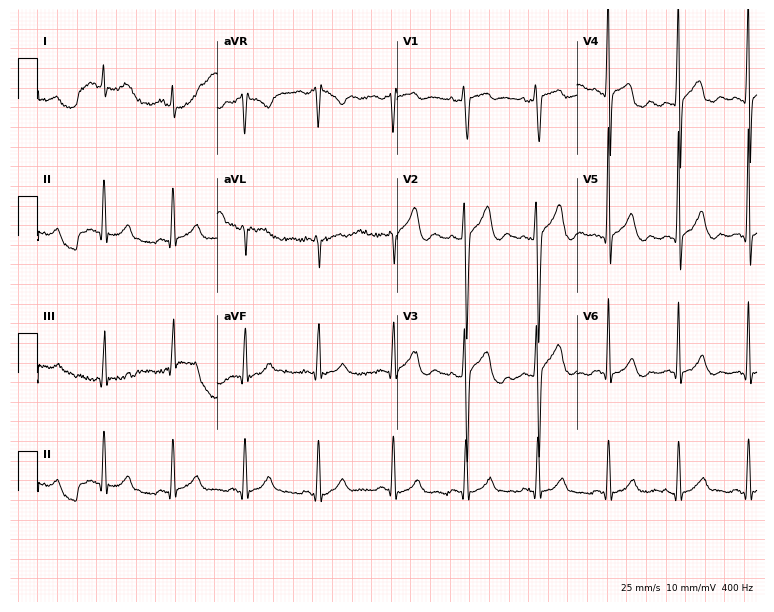
ECG — a male patient, 31 years old. Labelled as a normal ECG.